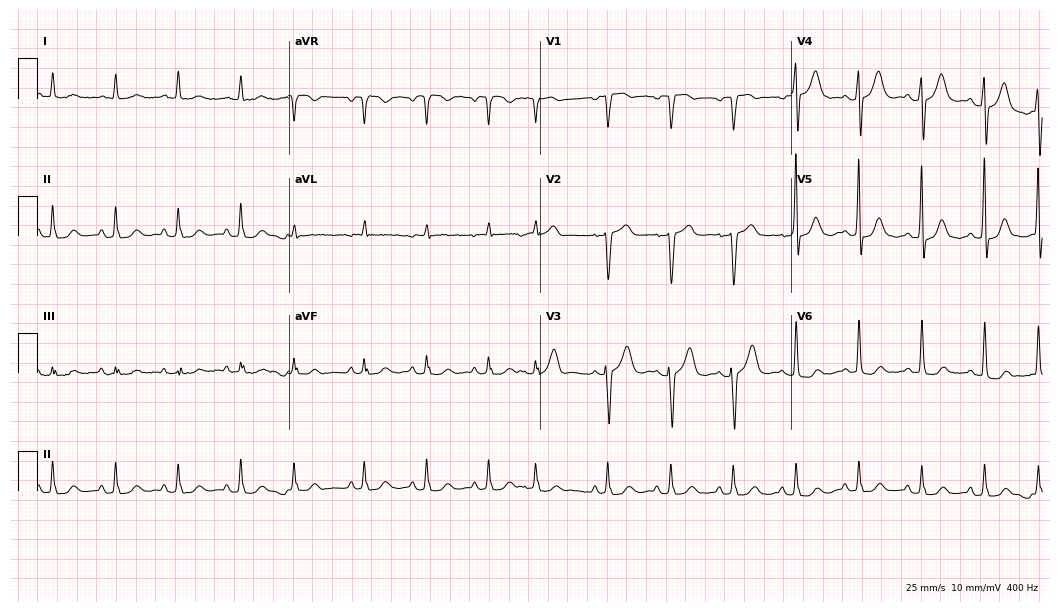
Resting 12-lead electrocardiogram (10.2-second recording at 400 Hz). Patient: a 68-year-old female. None of these six findings is recorded: first-degree AV block, right bundle branch block, left bundle branch block, sinus bradycardia, atrial fibrillation, sinus tachycardia.